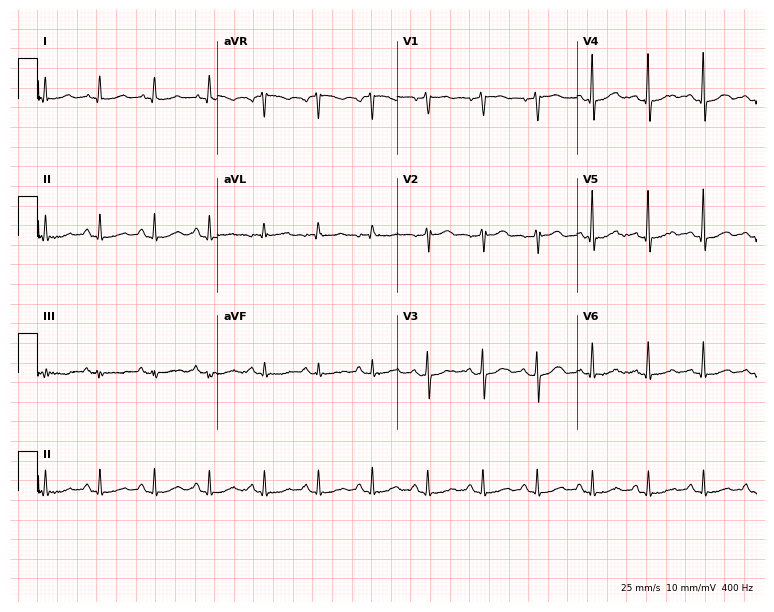
Resting 12-lead electrocardiogram (7.3-second recording at 400 Hz). Patient: a female, 56 years old. The tracing shows sinus tachycardia (a sinus rate of 100 beats per minute or more).